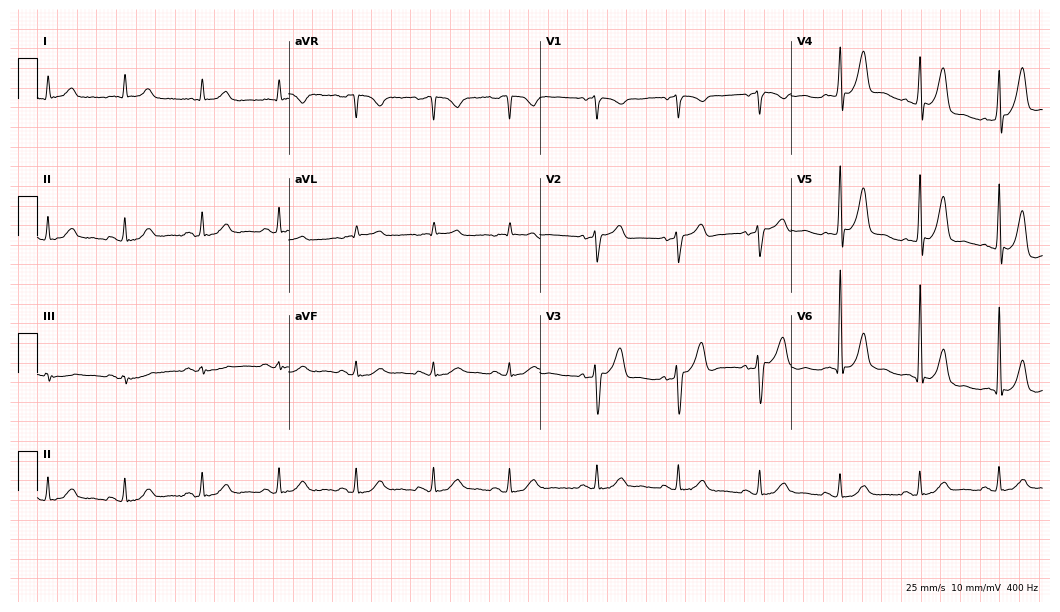
ECG (10.2-second recording at 400 Hz) — a male patient, 81 years old. Screened for six findings — first-degree AV block, right bundle branch block, left bundle branch block, sinus bradycardia, atrial fibrillation, sinus tachycardia — none is recorded.